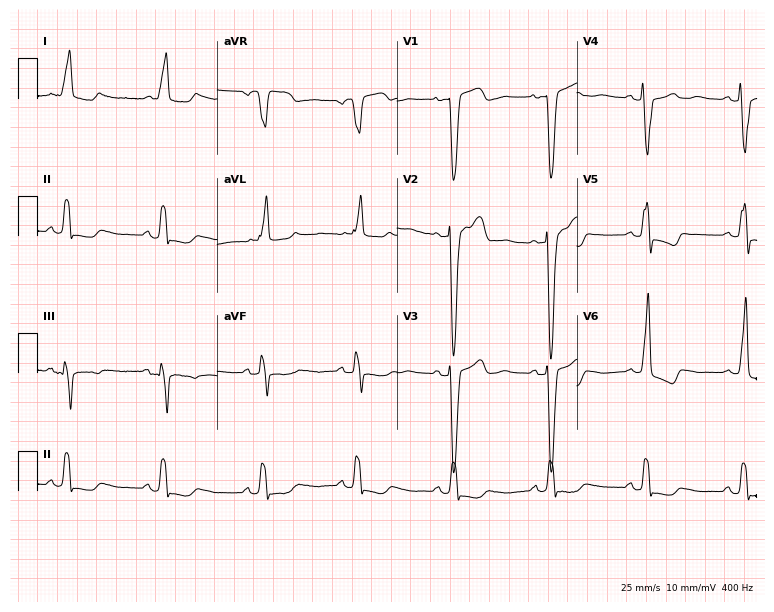
Resting 12-lead electrocardiogram. Patient: a 76-year-old woman. The tracing shows left bundle branch block.